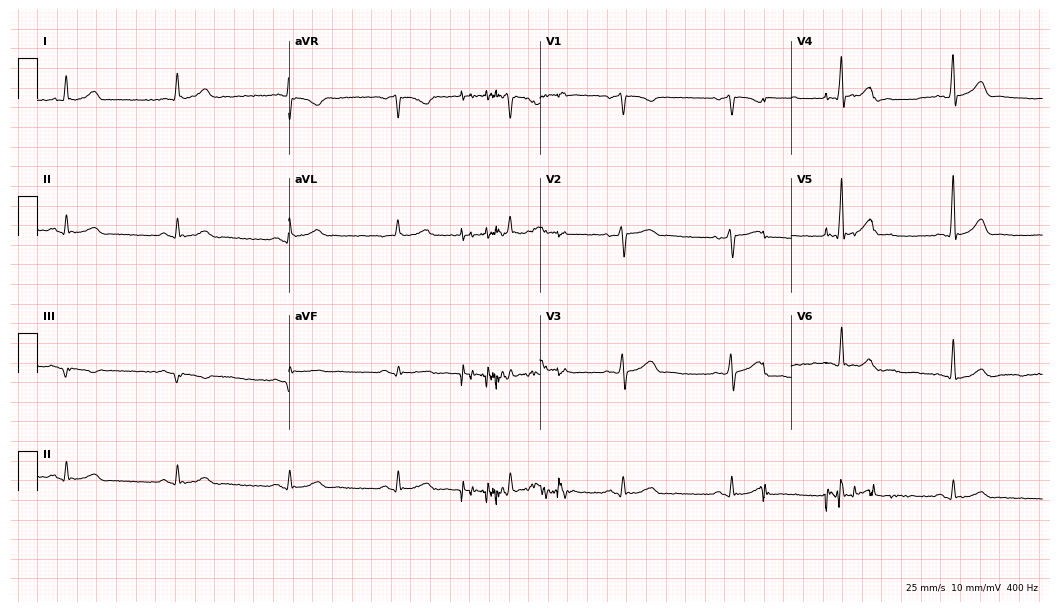
12-lead ECG from a 56-year-old male (10.2-second recording at 400 Hz). Recorded interpretation: within normal limits.